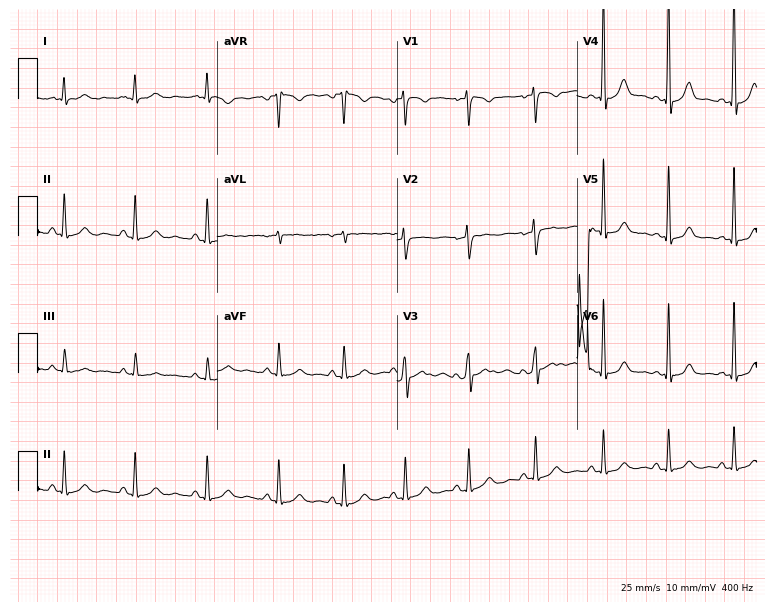
Resting 12-lead electrocardiogram. Patient: a woman, 27 years old. None of these six findings is recorded: first-degree AV block, right bundle branch block (RBBB), left bundle branch block (LBBB), sinus bradycardia, atrial fibrillation (AF), sinus tachycardia. Findings outside these six are not listed.